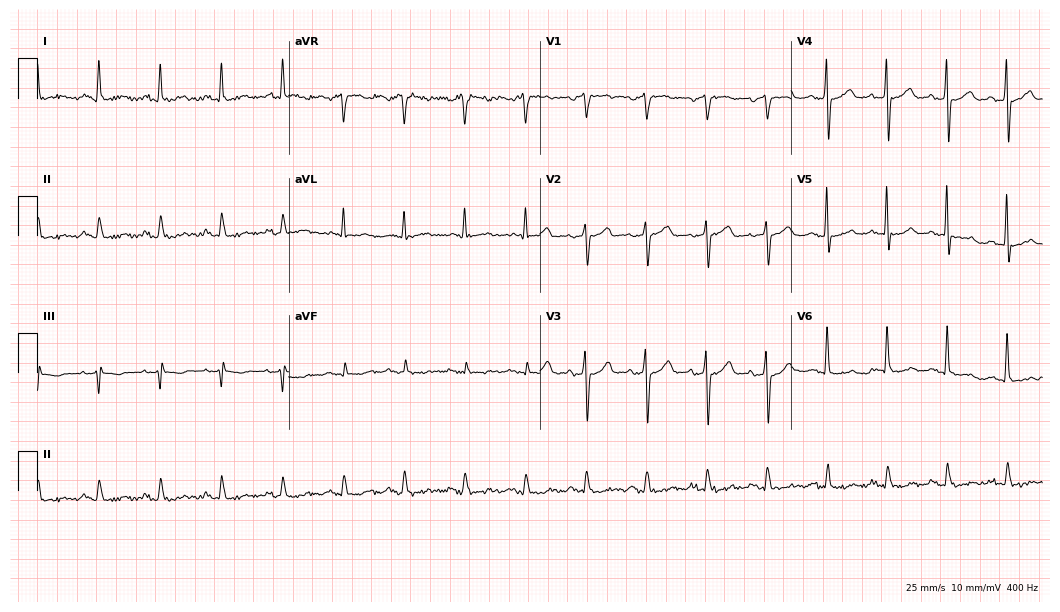
12-lead ECG from a male patient, 67 years old (10.2-second recording at 400 Hz). No first-degree AV block, right bundle branch block, left bundle branch block, sinus bradycardia, atrial fibrillation or sinus tachycardia recorded for this tracing.